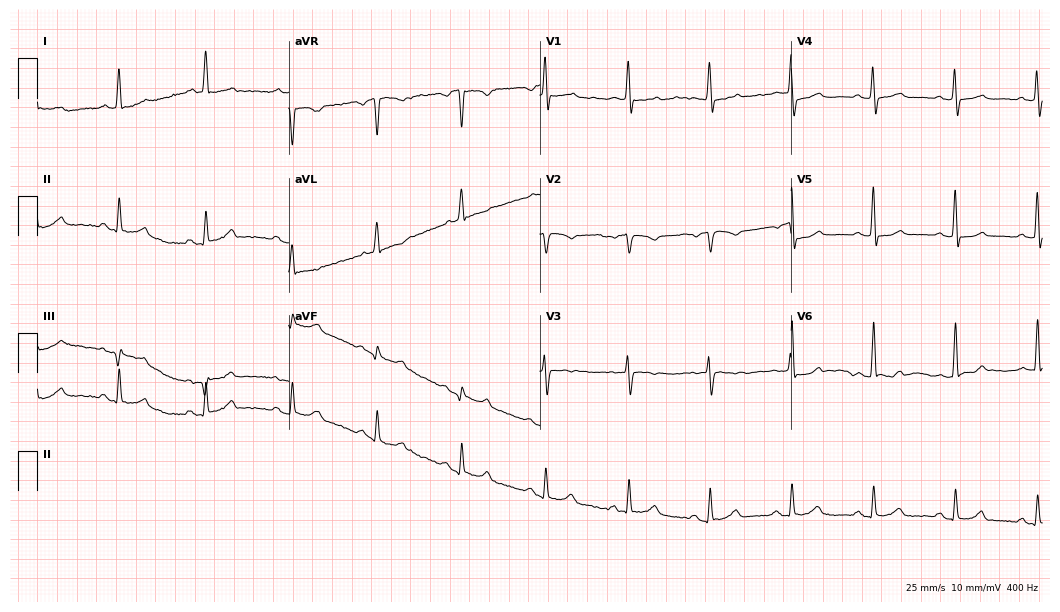
12-lead ECG from a 72-year-old female patient. Screened for six findings — first-degree AV block, right bundle branch block, left bundle branch block, sinus bradycardia, atrial fibrillation, sinus tachycardia — none is recorded. Only these six findings were labelled.